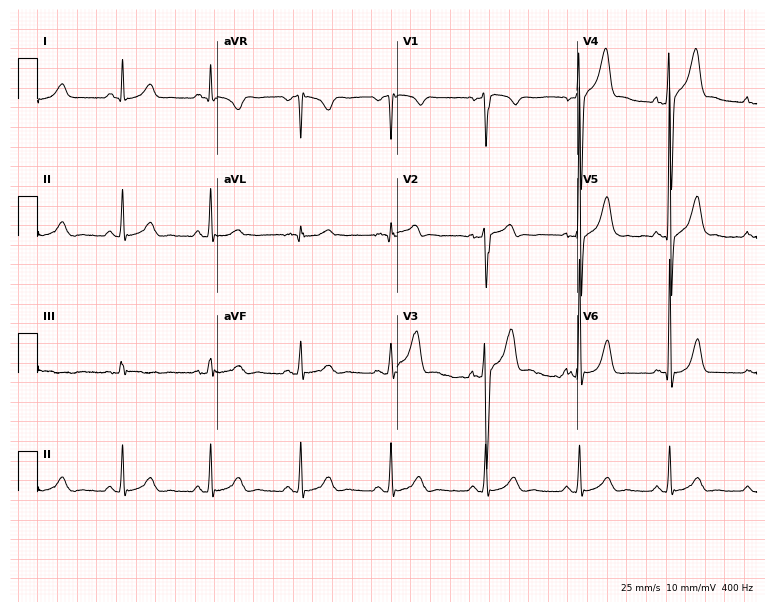
Standard 12-lead ECG recorded from a 45-year-old male. None of these six findings is recorded: first-degree AV block, right bundle branch block, left bundle branch block, sinus bradycardia, atrial fibrillation, sinus tachycardia. Findings outside these six are not listed.